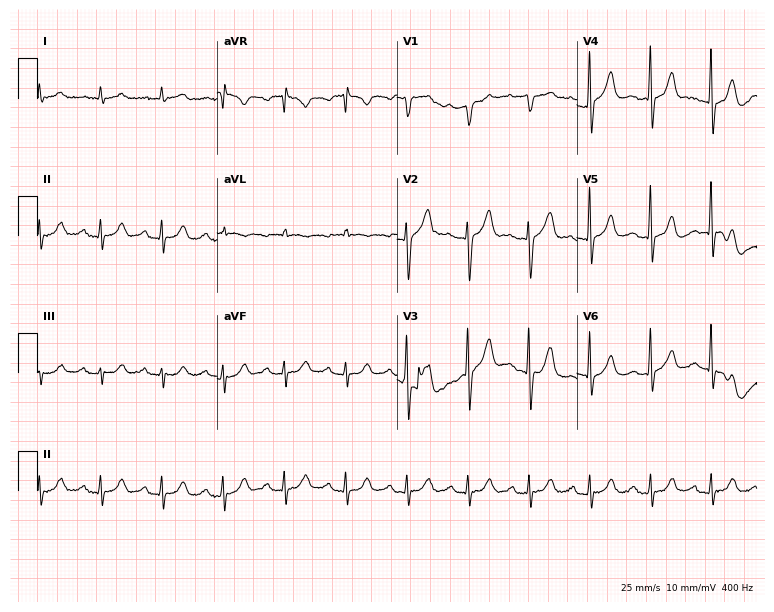
ECG (7.3-second recording at 400 Hz) — a male, 66 years old. Screened for six findings — first-degree AV block, right bundle branch block, left bundle branch block, sinus bradycardia, atrial fibrillation, sinus tachycardia — none is recorded. Only these six findings were labelled.